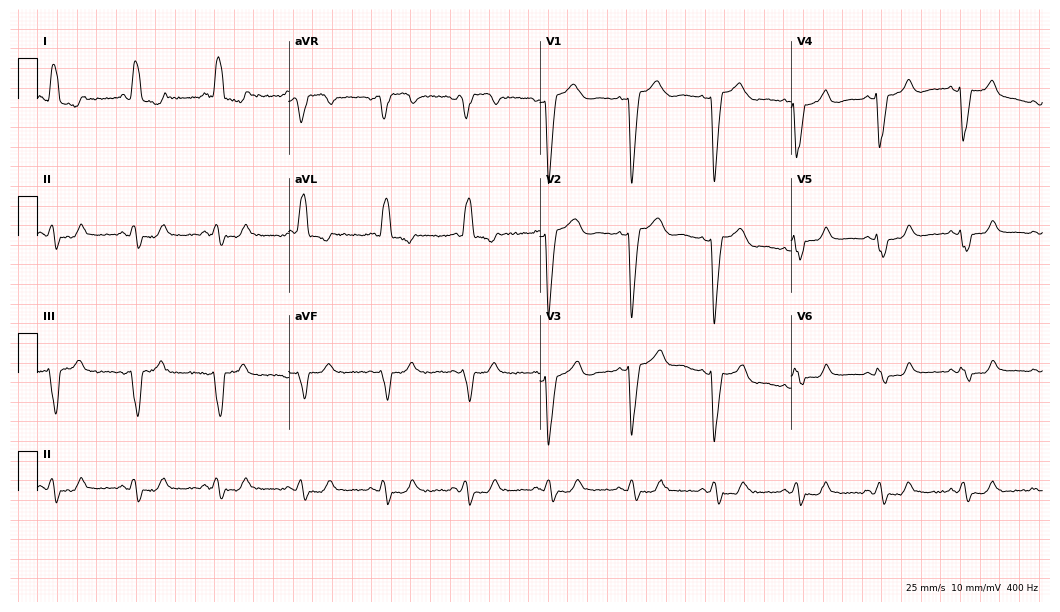
Electrocardiogram (10.2-second recording at 400 Hz), a female, 50 years old. Interpretation includes left bundle branch block (LBBB).